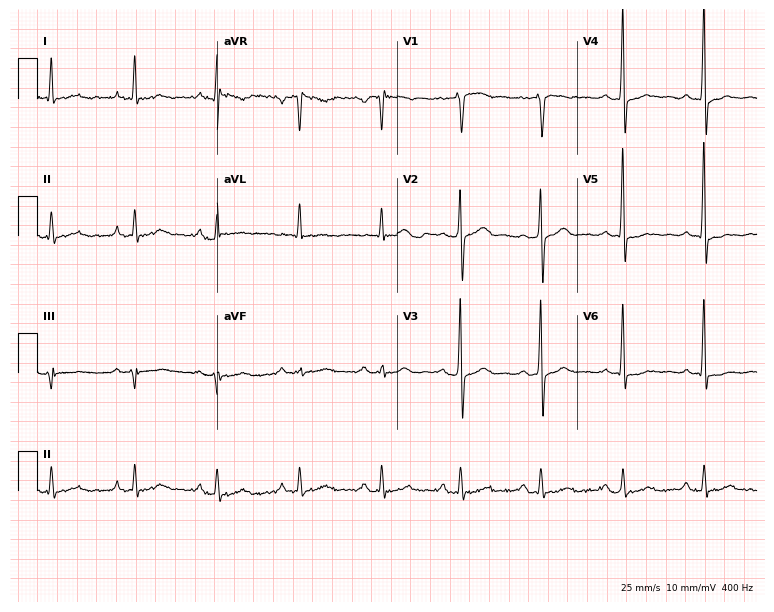
ECG — a male patient, 64 years old. Screened for six findings — first-degree AV block, right bundle branch block, left bundle branch block, sinus bradycardia, atrial fibrillation, sinus tachycardia — none is recorded.